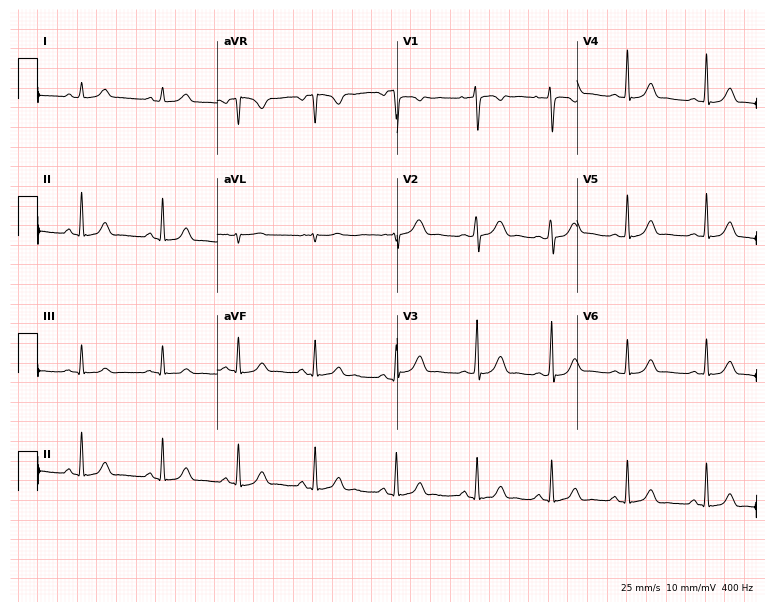
Electrocardiogram, a female, 20 years old. Of the six screened findings (first-degree AV block, right bundle branch block, left bundle branch block, sinus bradycardia, atrial fibrillation, sinus tachycardia), none is recorded.